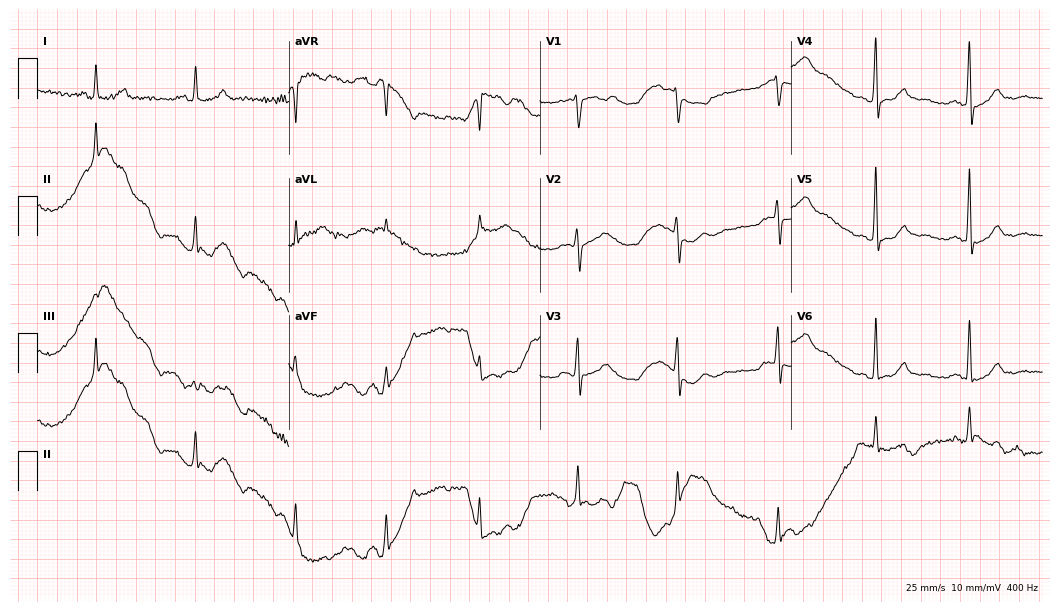
12-lead ECG from a 61-year-old female. Screened for six findings — first-degree AV block, right bundle branch block, left bundle branch block, sinus bradycardia, atrial fibrillation, sinus tachycardia — none is recorded.